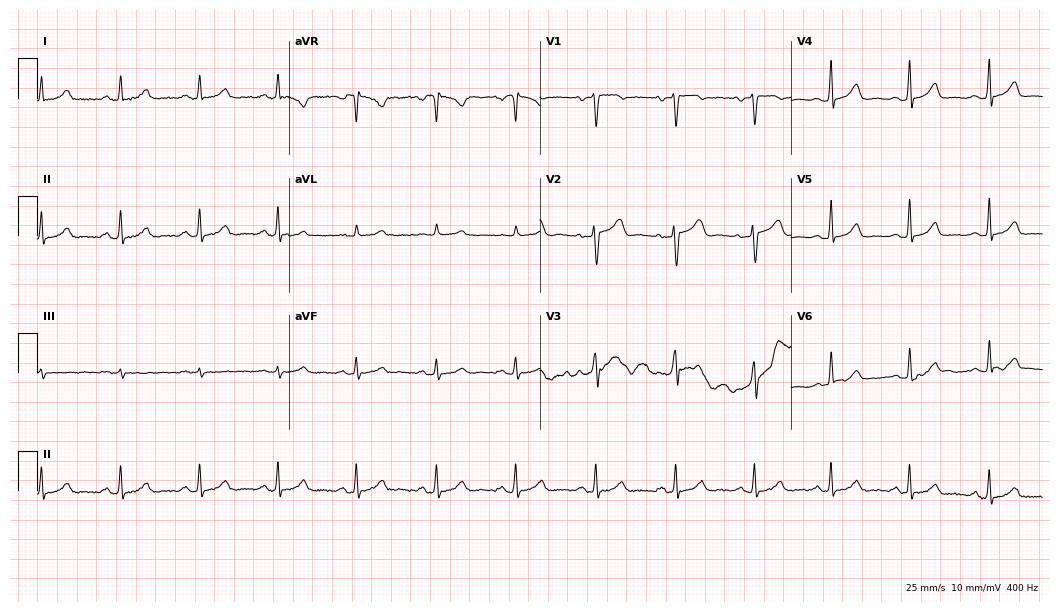
Standard 12-lead ECG recorded from a 42-year-old female. Read as a normal ECG.